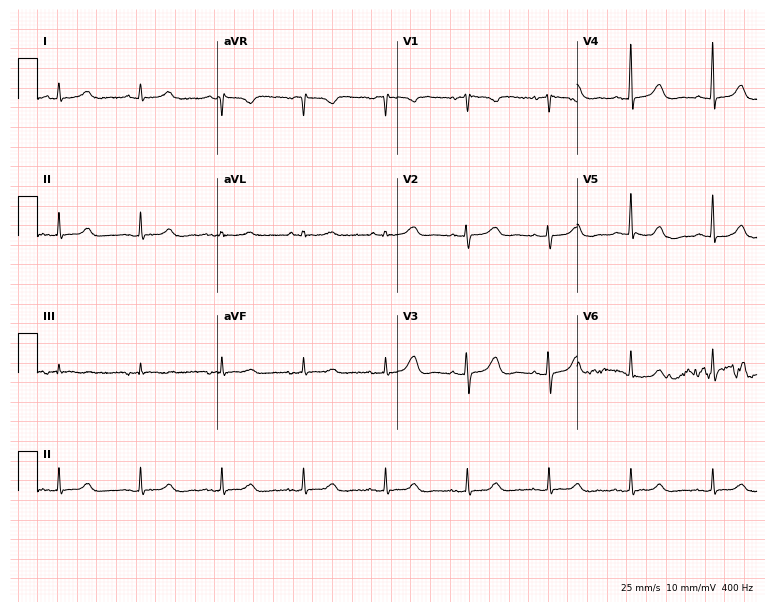
Electrocardiogram, a 78-year-old woman. Overall reading on record: normal ECG.